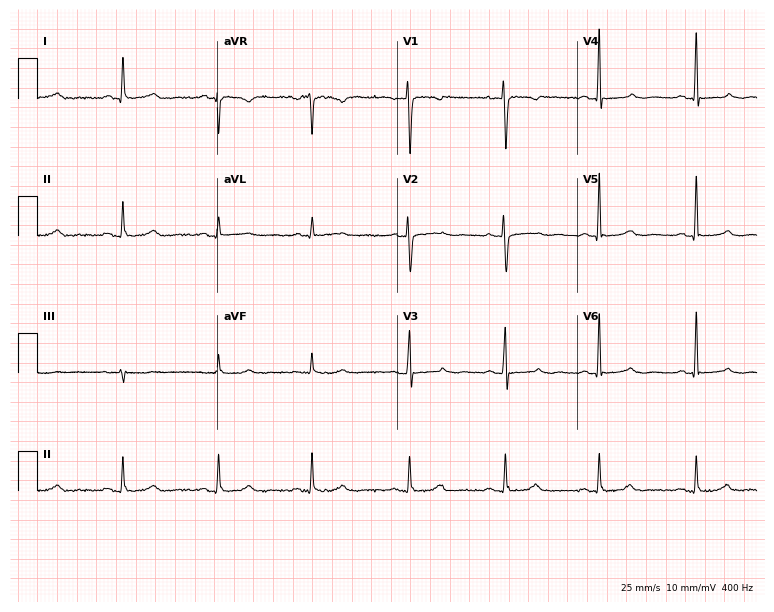
Electrocardiogram (7.3-second recording at 400 Hz), a female patient, 54 years old. Of the six screened findings (first-degree AV block, right bundle branch block (RBBB), left bundle branch block (LBBB), sinus bradycardia, atrial fibrillation (AF), sinus tachycardia), none is recorded. Findings outside these six are not listed.